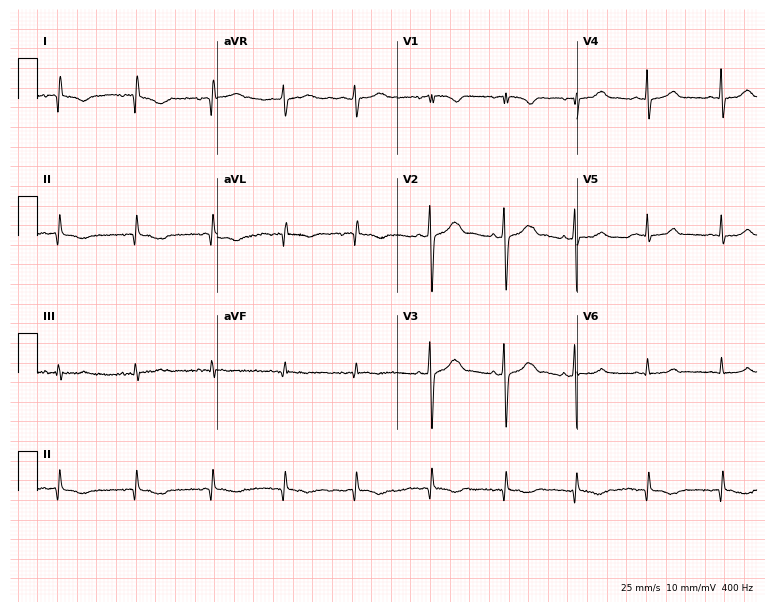
ECG (7.3-second recording at 400 Hz) — a 32-year-old woman. Screened for six findings — first-degree AV block, right bundle branch block (RBBB), left bundle branch block (LBBB), sinus bradycardia, atrial fibrillation (AF), sinus tachycardia — none is recorded.